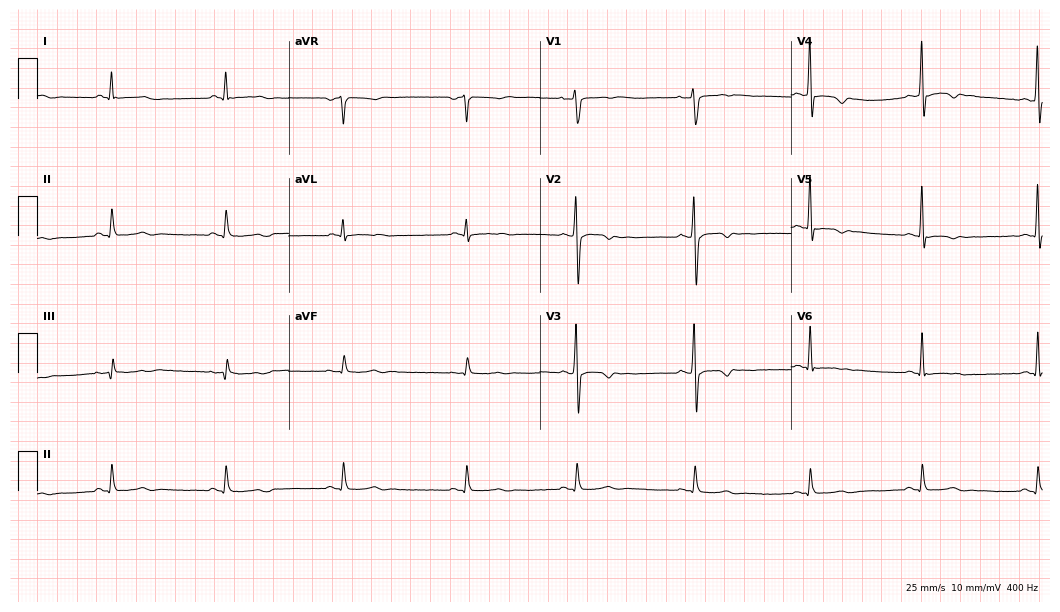
ECG — a 30-year-old male patient. Screened for six findings — first-degree AV block, right bundle branch block (RBBB), left bundle branch block (LBBB), sinus bradycardia, atrial fibrillation (AF), sinus tachycardia — none is recorded. Findings outside these six are not listed.